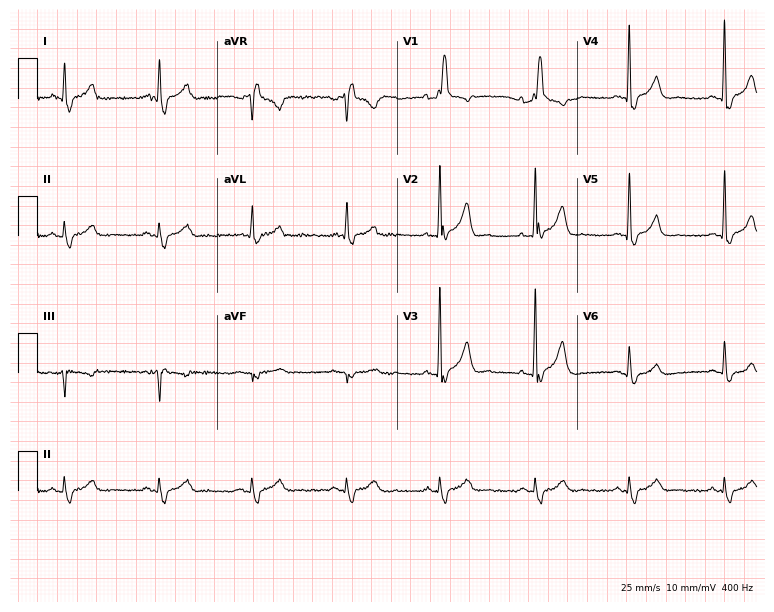
12-lead ECG from a 58-year-old male patient (7.3-second recording at 400 Hz). Shows right bundle branch block.